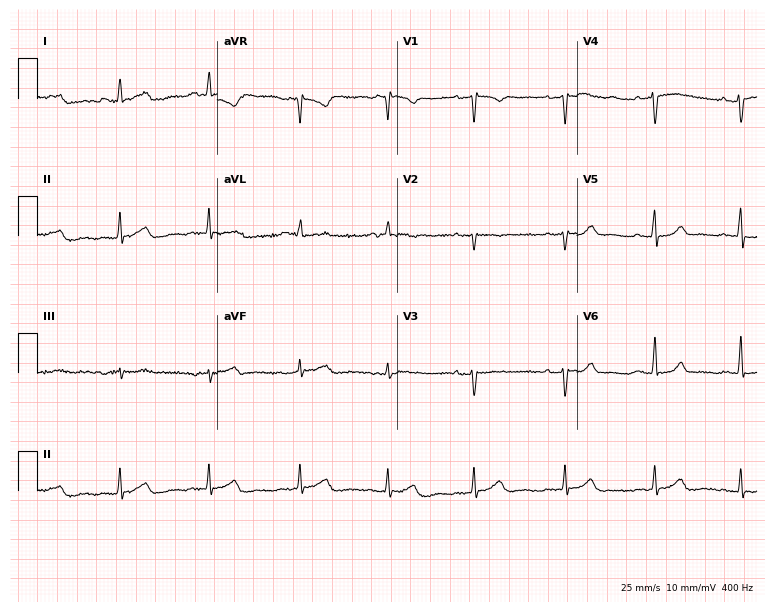
12-lead ECG from a woman, 48 years old. Labelled as a normal ECG.